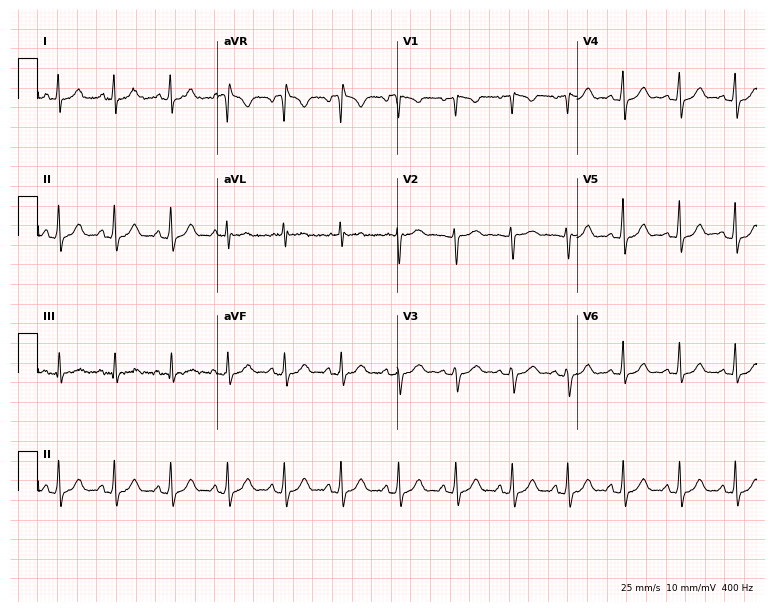
Electrocardiogram, a woman, 31 years old. Interpretation includes sinus tachycardia (a sinus rate of 100 beats per minute or more).